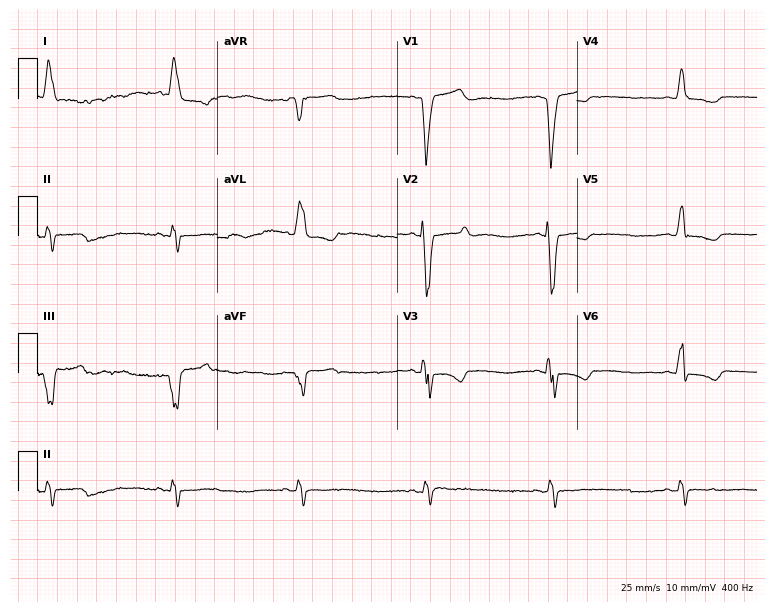
12-lead ECG from a female, 85 years old (7.3-second recording at 400 Hz). Shows right bundle branch block, left bundle branch block.